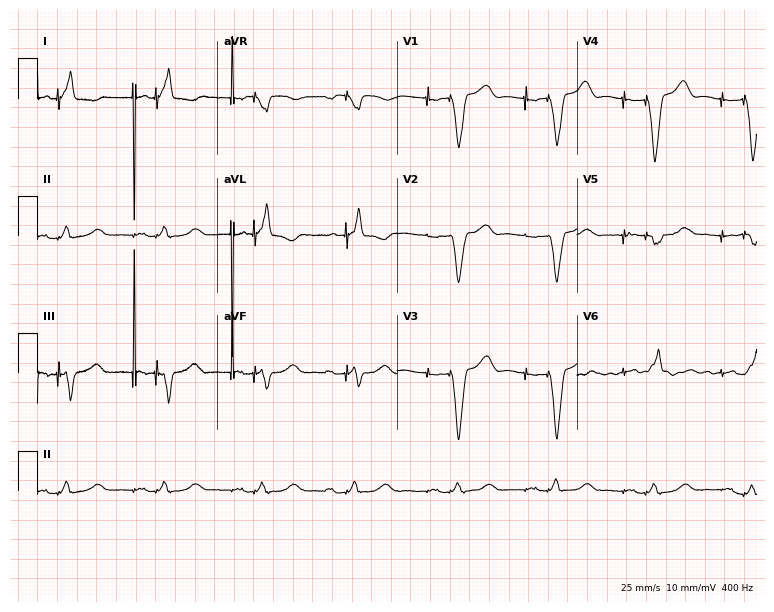
ECG (7.3-second recording at 400 Hz) — a female, 55 years old. Screened for six findings — first-degree AV block, right bundle branch block, left bundle branch block, sinus bradycardia, atrial fibrillation, sinus tachycardia — none is recorded. Other findings, if any, are not listed.